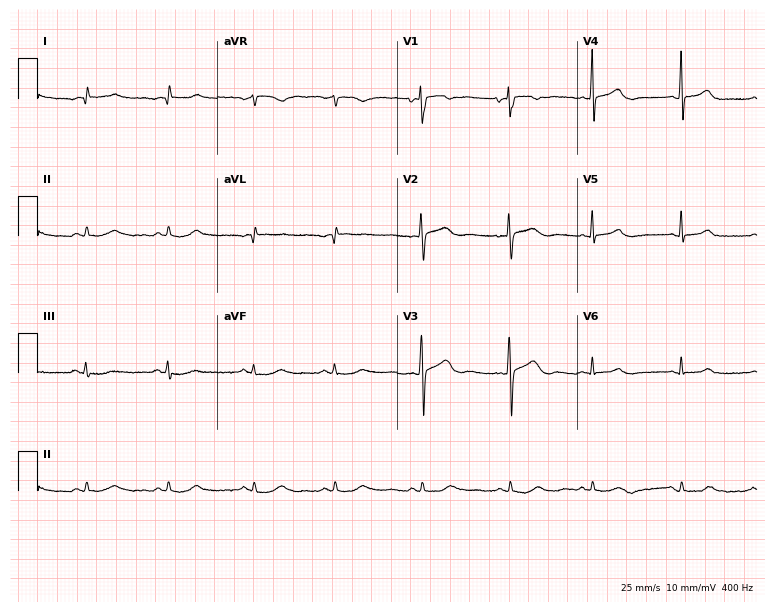
12-lead ECG from a 42-year-old female patient. Labelled as a normal ECG.